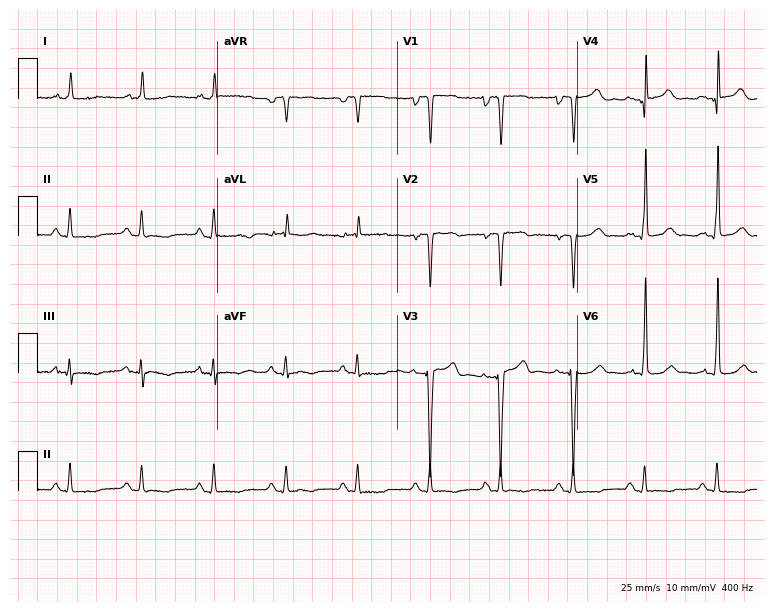
Standard 12-lead ECG recorded from a male, 50 years old. None of these six findings is recorded: first-degree AV block, right bundle branch block, left bundle branch block, sinus bradycardia, atrial fibrillation, sinus tachycardia.